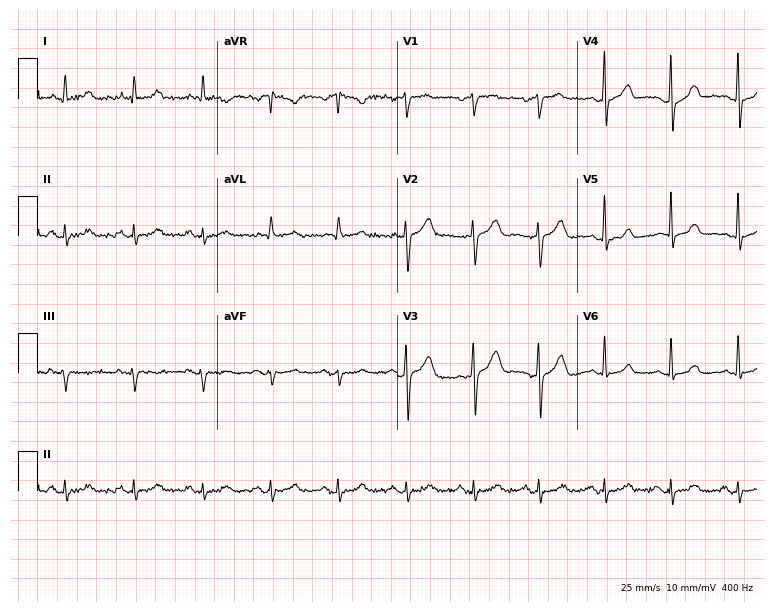
12-lead ECG from a 57-year-old male. Screened for six findings — first-degree AV block, right bundle branch block, left bundle branch block, sinus bradycardia, atrial fibrillation, sinus tachycardia — none is recorded. Other findings, if any, are not listed.